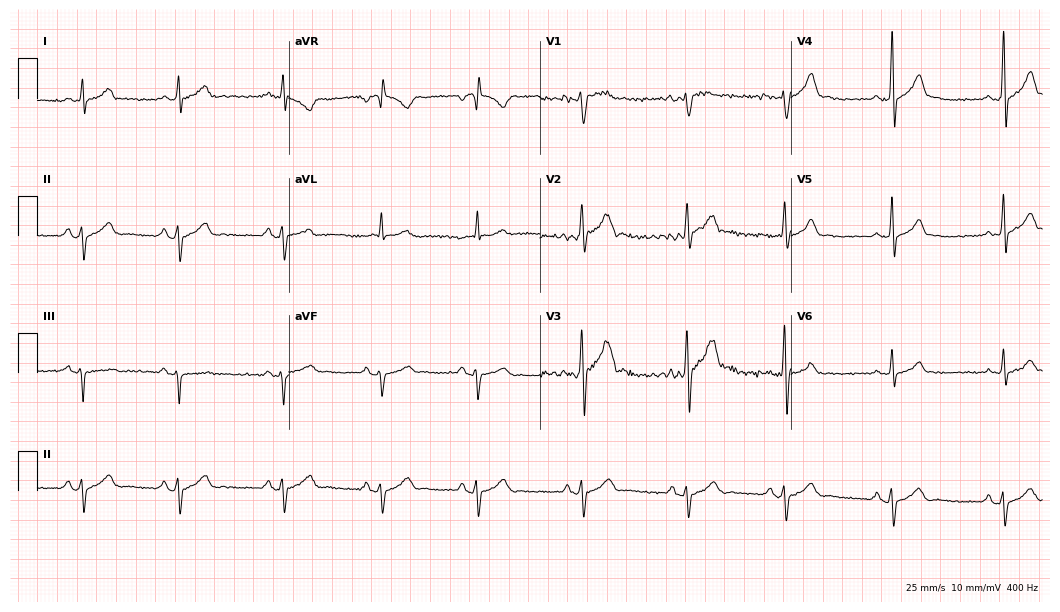
12-lead ECG from a 17-year-old male patient. Screened for six findings — first-degree AV block, right bundle branch block, left bundle branch block, sinus bradycardia, atrial fibrillation, sinus tachycardia — none is recorded.